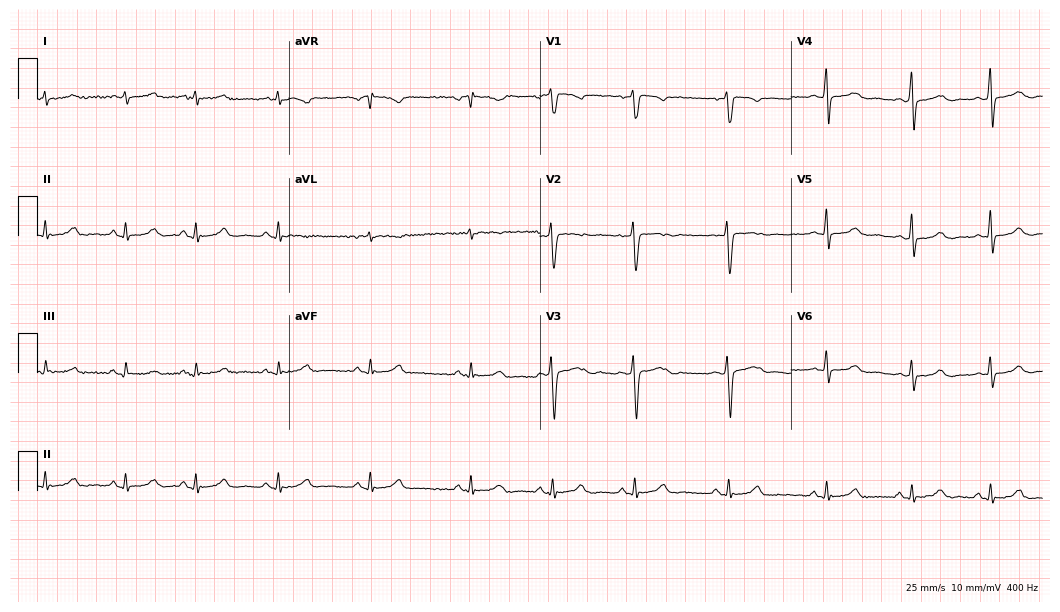
Resting 12-lead electrocardiogram (10.2-second recording at 400 Hz). Patient: a woman, 26 years old. None of these six findings is recorded: first-degree AV block, right bundle branch block, left bundle branch block, sinus bradycardia, atrial fibrillation, sinus tachycardia. Findings outside these six are not listed.